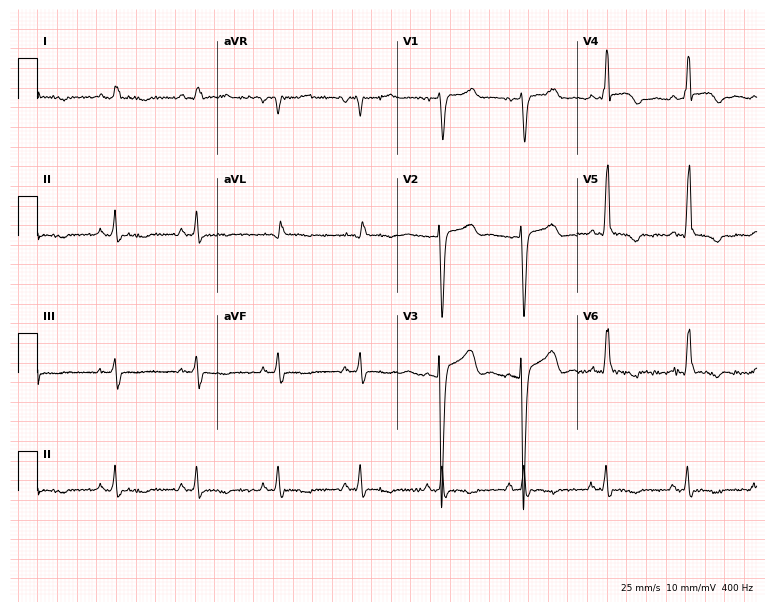
Resting 12-lead electrocardiogram. Patient: a male, 52 years old. None of these six findings is recorded: first-degree AV block, right bundle branch block (RBBB), left bundle branch block (LBBB), sinus bradycardia, atrial fibrillation (AF), sinus tachycardia. Only these six findings were labelled.